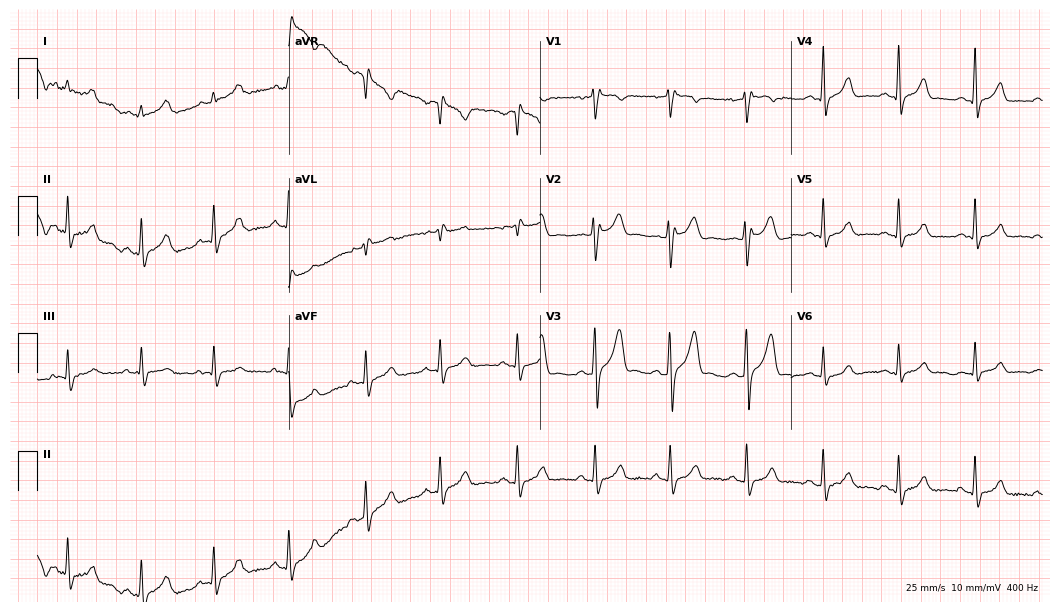
12-lead ECG from a man, 20 years old. No first-degree AV block, right bundle branch block (RBBB), left bundle branch block (LBBB), sinus bradycardia, atrial fibrillation (AF) or sinus tachycardia recorded for this tracing.